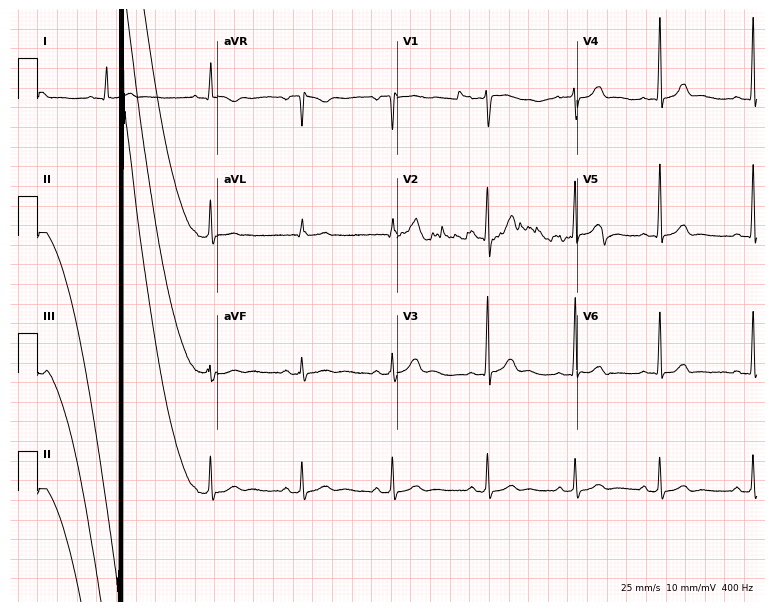
ECG — a man, 23 years old. Screened for six findings — first-degree AV block, right bundle branch block (RBBB), left bundle branch block (LBBB), sinus bradycardia, atrial fibrillation (AF), sinus tachycardia — none is recorded.